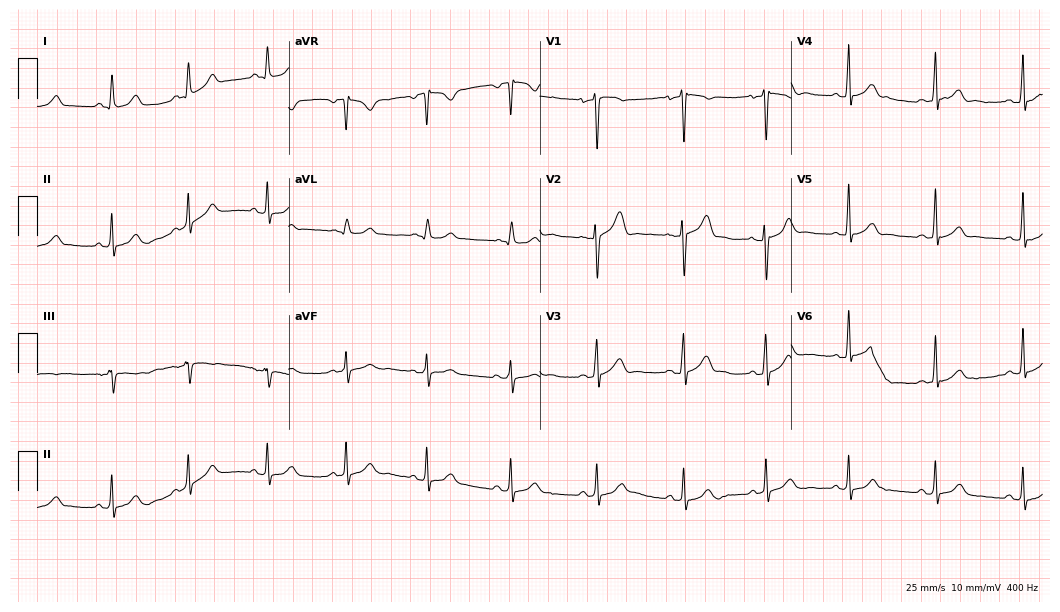
12-lead ECG from a 25-year-old male patient. Labelled as a normal ECG.